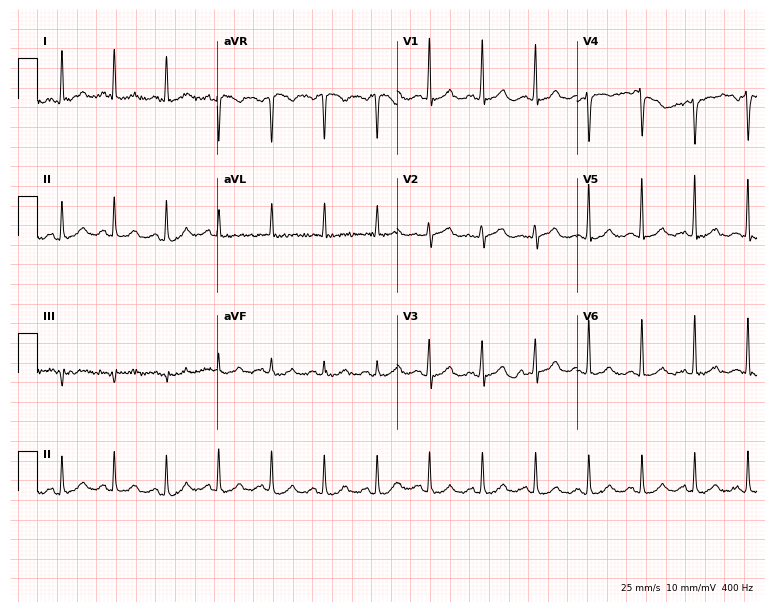
ECG — a woman, 58 years old. Screened for six findings — first-degree AV block, right bundle branch block (RBBB), left bundle branch block (LBBB), sinus bradycardia, atrial fibrillation (AF), sinus tachycardia — none is recorded.